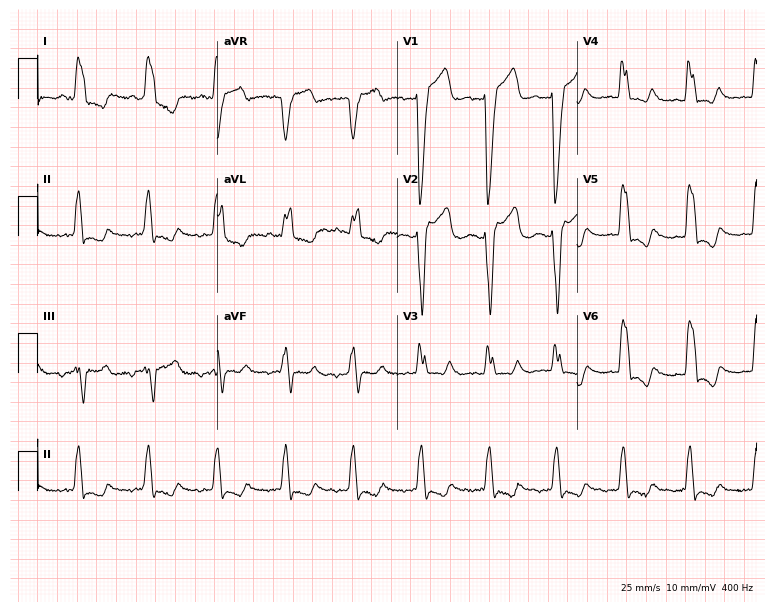
12-lead ECG from a woman, 82 years old (7.3-second recording at 400 Hz). Shows left bundle branch block (LBBB).